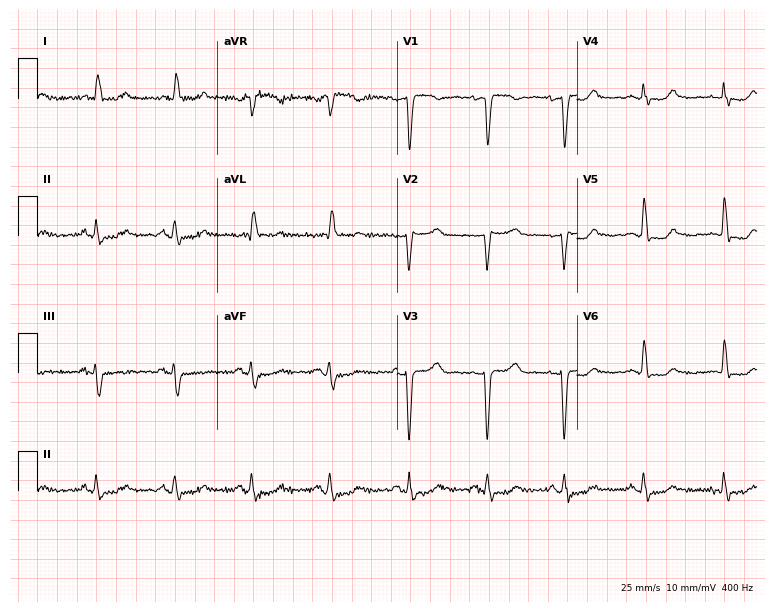
ECG (7.3-second recording at 400 Hz) — a female patient, 72 years old. Screened for six findings — first-degree AV block, right bundle branch block (RBBB), left bundle branch block (LBBB), sinus bradycardia, atrial fibrillation (AF), sinus tachycardia — none is recorded. Only these six findings were labelled.